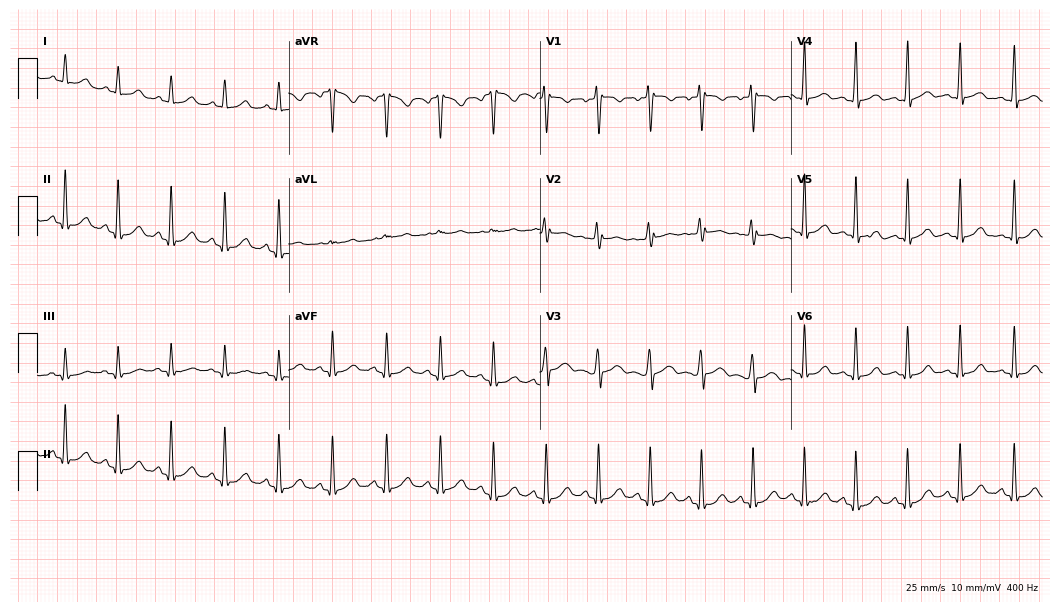
Electrocardiogram, a 19-year-old female patient. Interpretation includes sinus tachycardia (a sinus rate of 100 beats per minute or more).